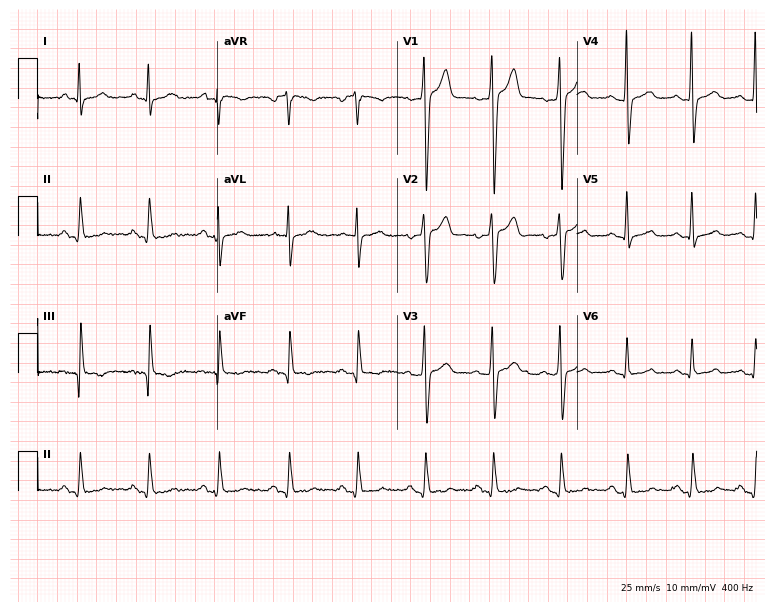
12-lead ECG from a male patient, 39 years old. Screened for six findings — first-degree AV block, right bundle branch block, left bundle branch block, sinus bradycardia, atrial fibrillation, sinus tachycardia — none is recorded.